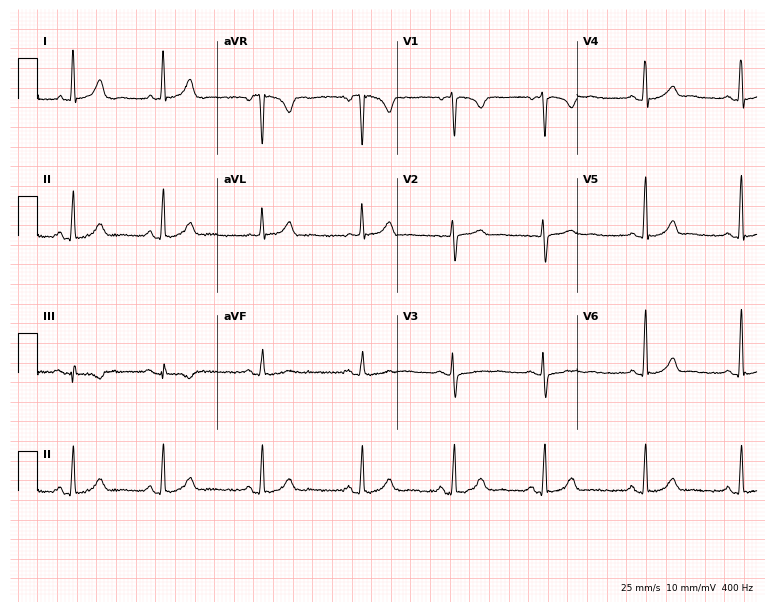
Standard 12-lead ECG recorded from a female patient, 36 years old. Read as a normal ECG.